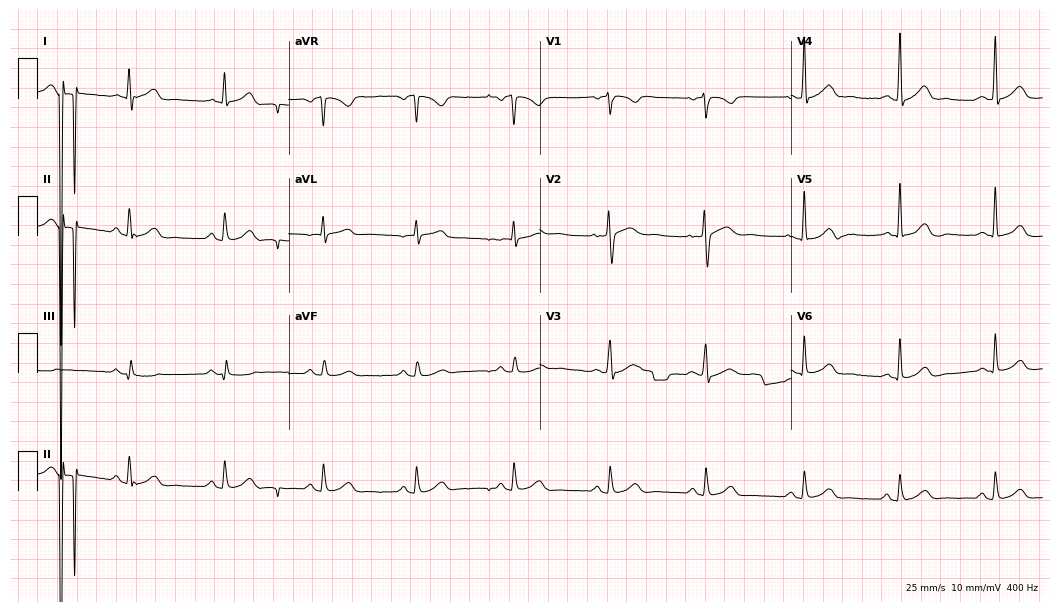
ECG — a female patient, 44 years old. Screened for six findings — first-degree AV block, right bundle branch block (RBBB), left bundle branch block (LBBB), sinus bradycardia, atrial fibrillation (AF), sinus tachycardia — none is recorded.